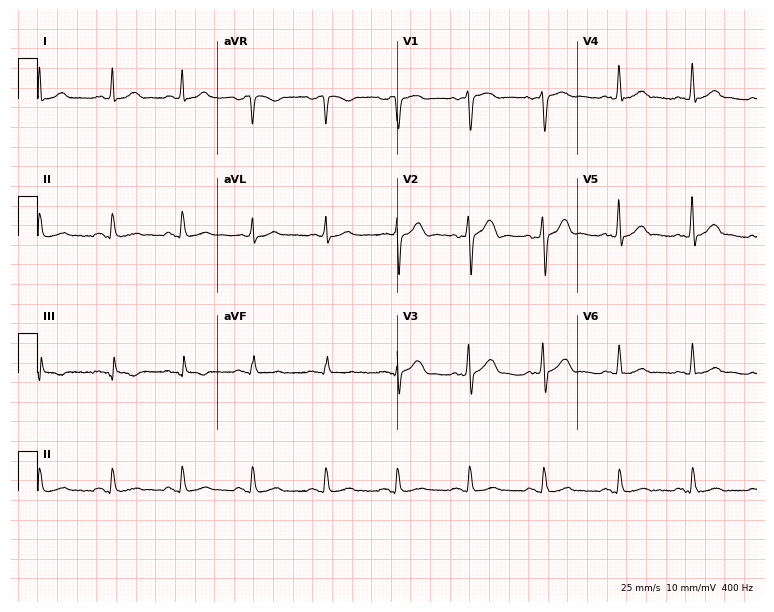
Resting 12-lead electrocardiogram (7.3-second recording at 400 Hz). Patient: a male, 30 years old. Read as a normal ECG.